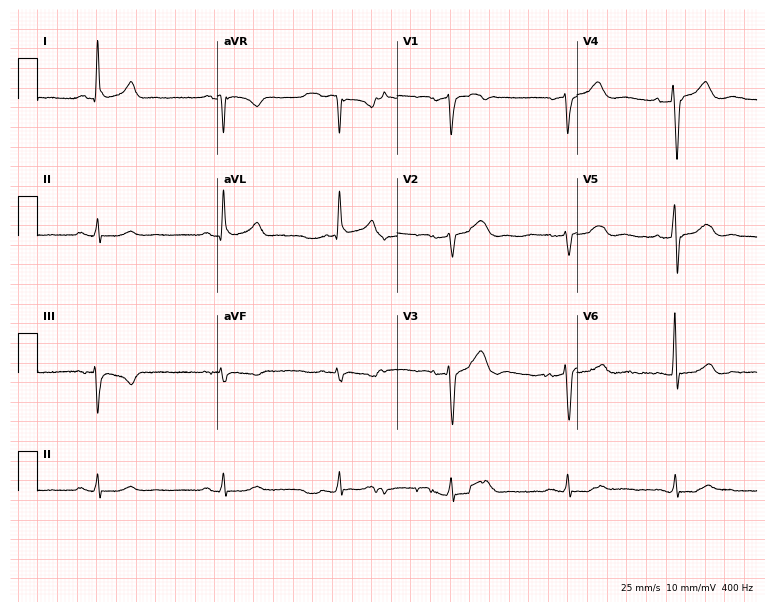
Electrocardiogram (7.3-second recording at 400 Hz), a 60-year-old male. Of the six screened findings (first-degree AV block, right bundle branch block (RBBB), left bundle branch block (LBBB), sinus bradycardia, atrial fibrillation (AF), sinus tachycardia), none is recorded. Other findings, if any, are not listed.